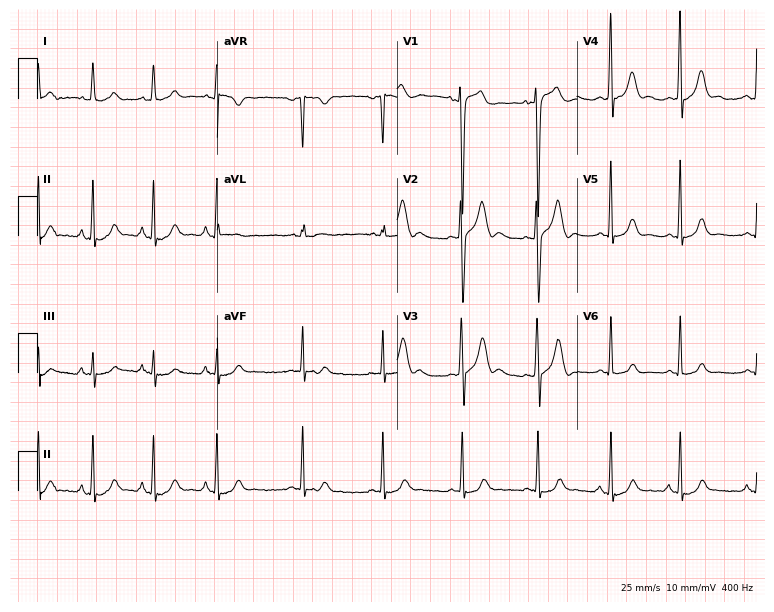
12-lead ECG (7.3-second recording at 400 Hz) from a 22-year-old male patient. Labelled as a normal ECG.